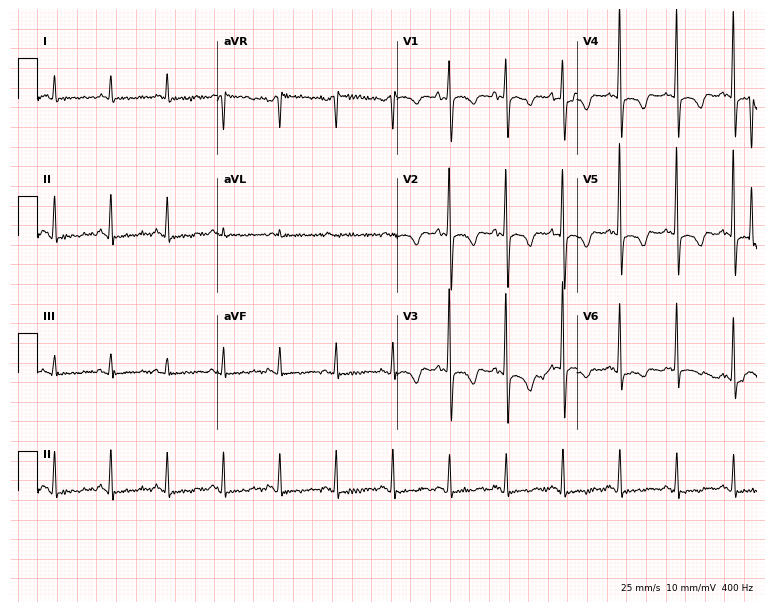
Resting 12-lead electrocardiogram (7.3-second recording at 400 Hz). Patient: a 64-year-old female. The tracing shows sinus tachycardia (a sinus rate of 100 beats per minute or more).